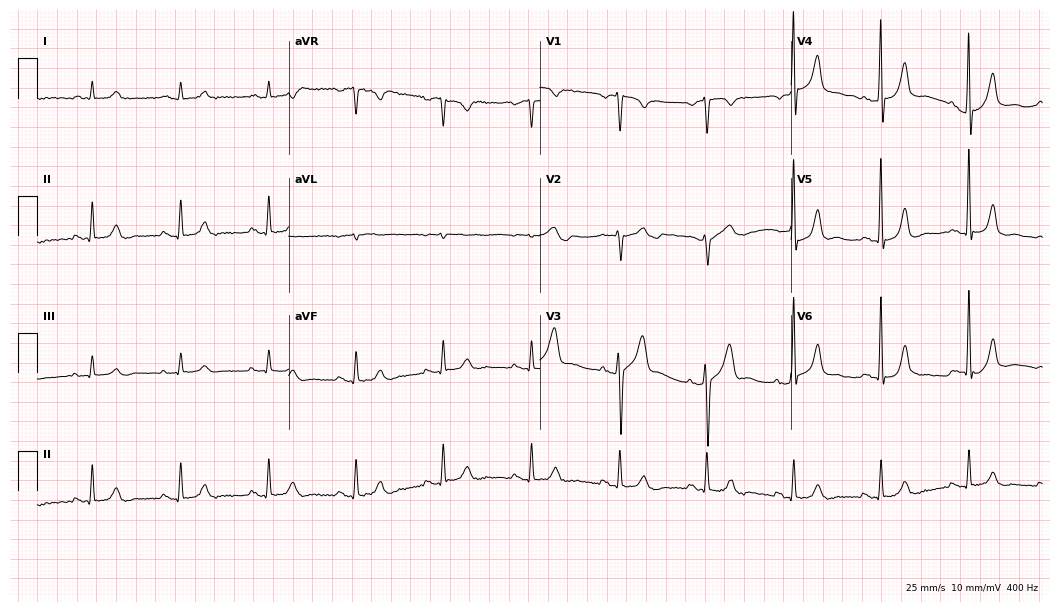
Electrocardiogram, a male, 81 years old. Of the six screened findings (first-degree AV block, right bundle branch block, left bundle branch block, sinus bradycardia, atrial fibrillation, sinus tachycardia), none is recorded. Only these six findings were labelled.